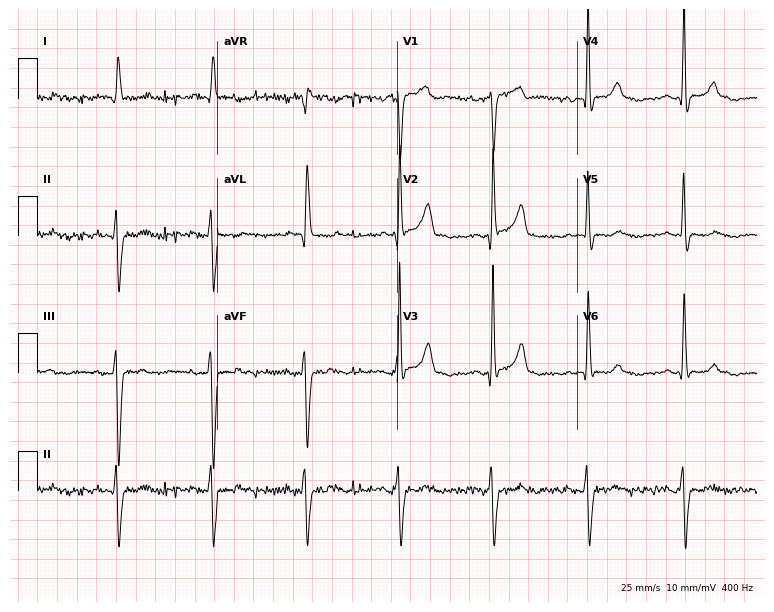
ECG (7.3-second recording at 400 Hz) — a male, 68 years old. Screened for six findings — first-degree AV block, right bundle branch block, left bundle branch block, sinus bradycardia, atrial fibrillation, sinus tachycardia — none is recorded.